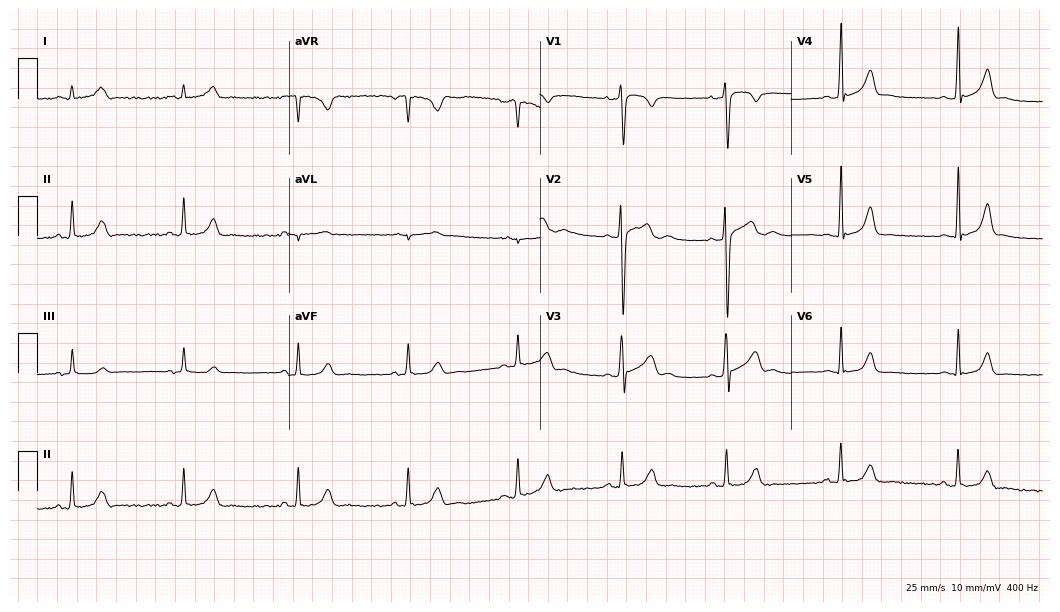
Resting 12-lead electrocardiogram. Patient: a male, 29 years old. Read as a normal ECG.